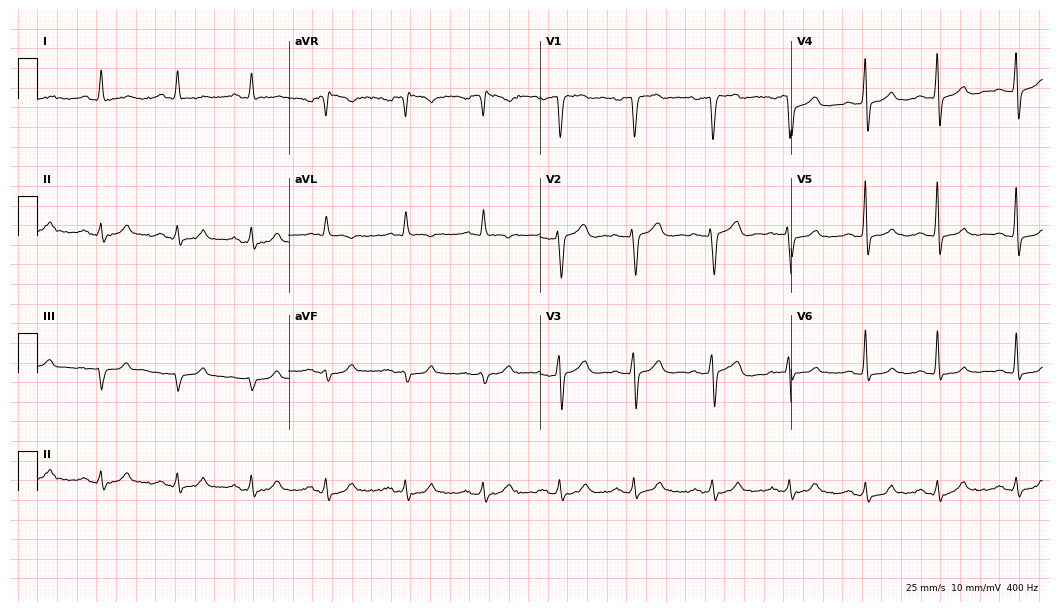
12-lead ECG from an 82-year-old man (10.2-second recording at 400 Hz). Recorded interpretation: within normal limits.